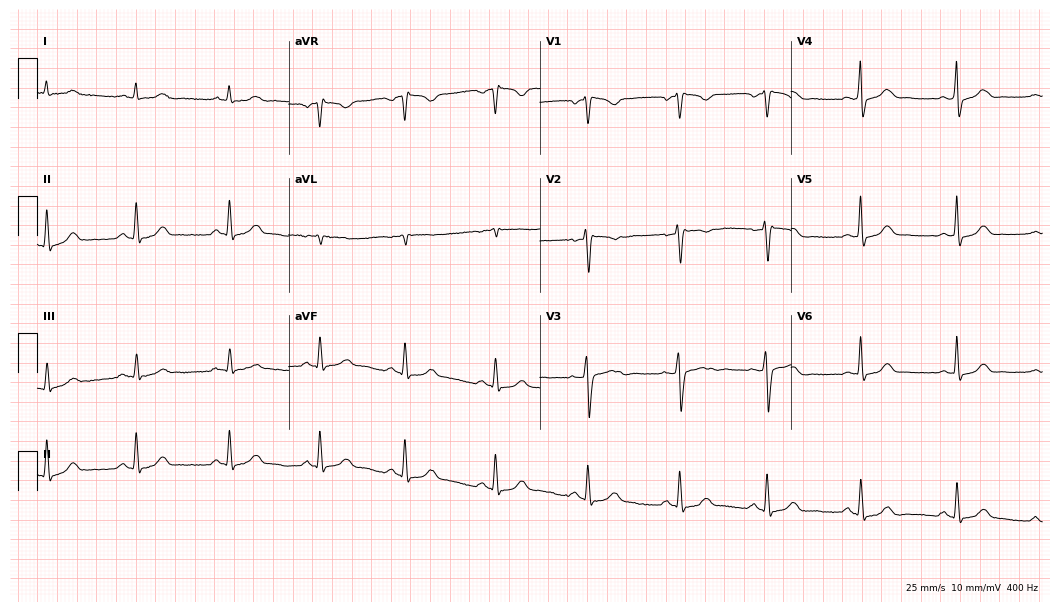
Resting 12-lead electrocardiogram. Patient: a woman, 39 years old. None of these six findings is recorded: first-degree AV block, right bundle branch block, left bundle branch block, sinus bradycardia, atrial fibrillation, sinus tachycardia. Findings outside these six are not listed.